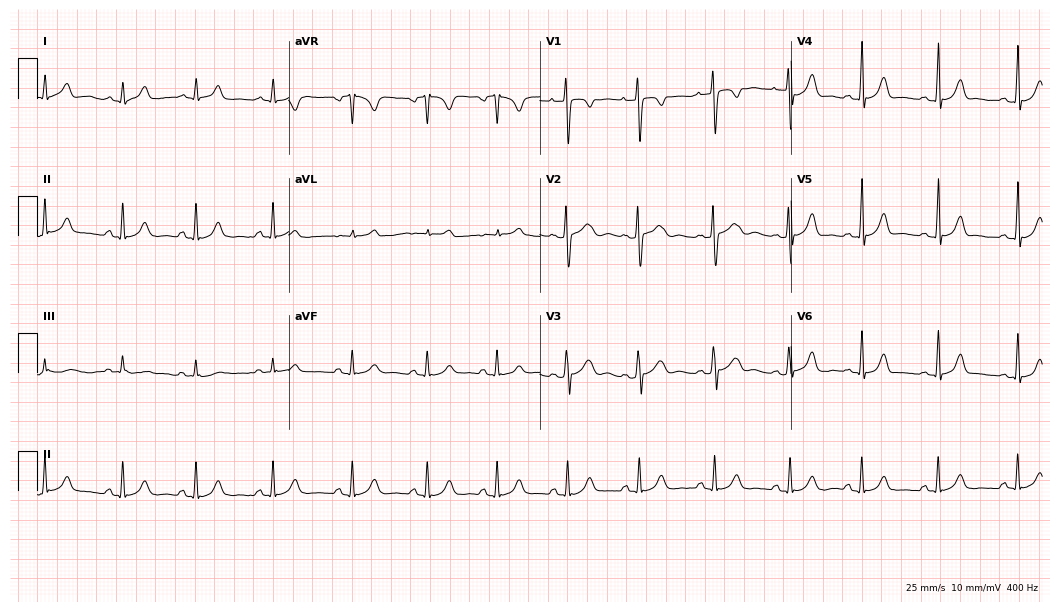
Standard 12-lead ECG recorded from a woman, 20 years old (10.2-second recording at 400 Hz). Read as a normal ECG.